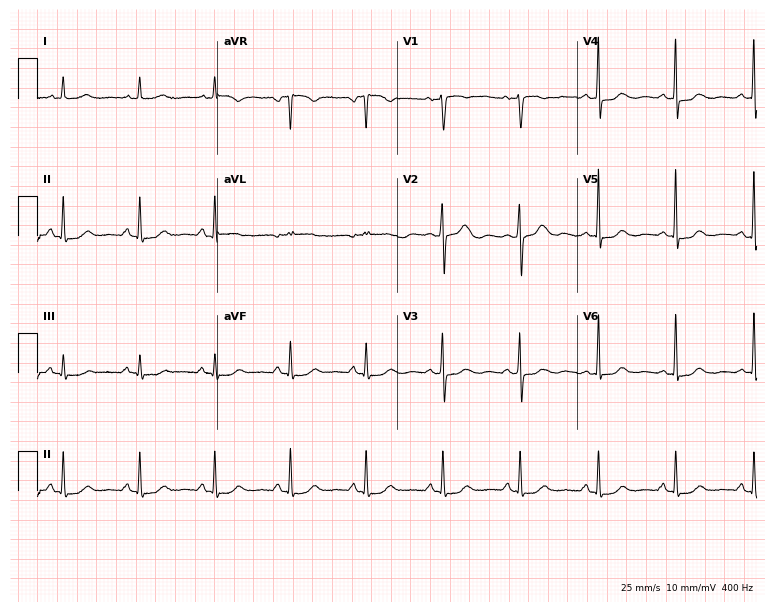
Resting 12-lead electrocardiogram. Patient: a 67-year-old female. Read as a normal ECG.